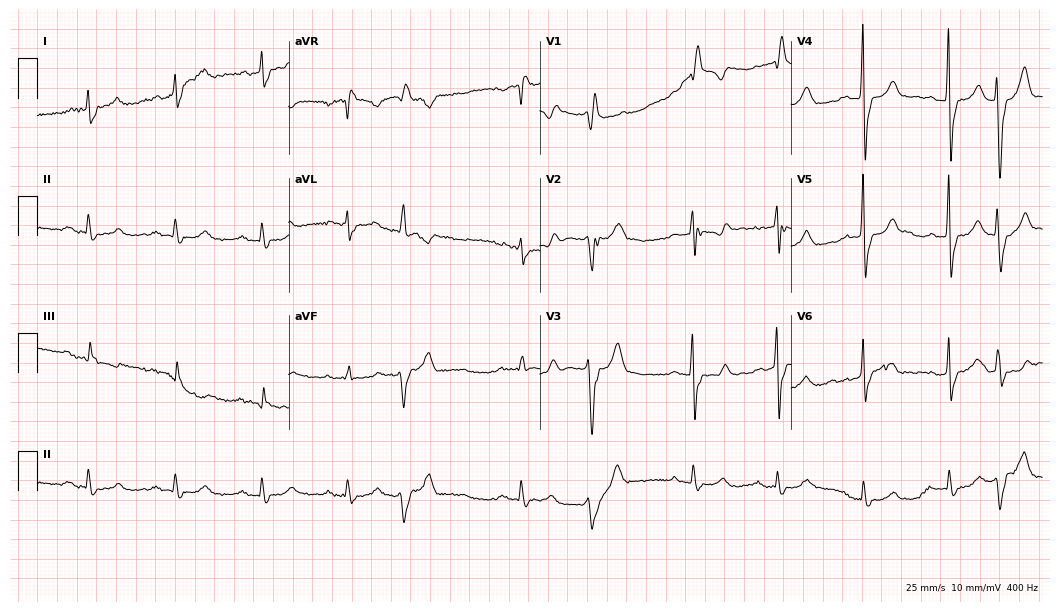
Standard 12-lead ECG recorded from an 84-year-old man. The tracing shows right bundle branch block.